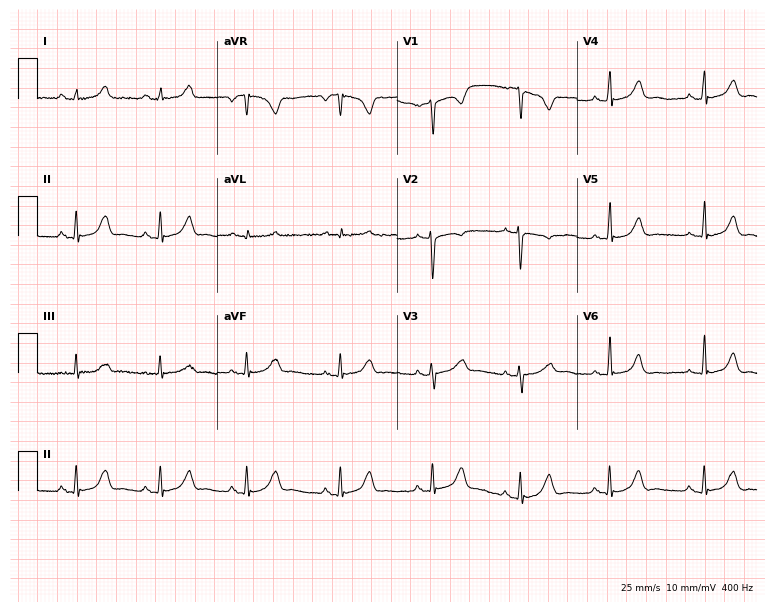
ECG — a woman, 28 years old. Labelled as a normal ECG.